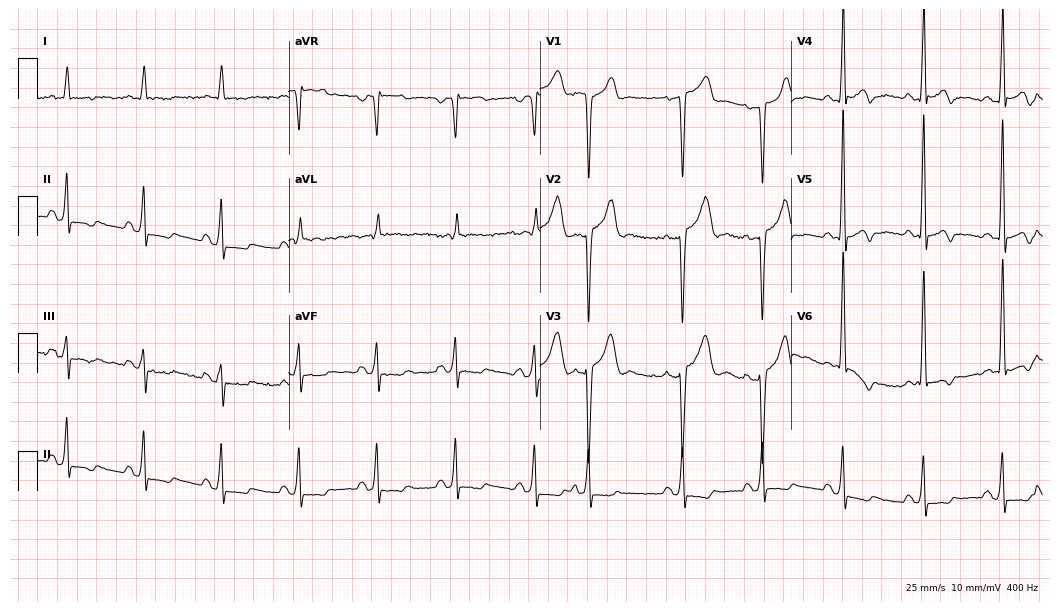
Resting 12-lead electrocardiogram (10.2-second recording at 400 Hz). Patient: a 72-year-old female. None of these six findings is recorded: first-degree AV block, right bundle branch block (RBBB), left bundle branch block (LBBB), sinus bradycardia, atrial fibrillation (AF), sinus tachycardia.